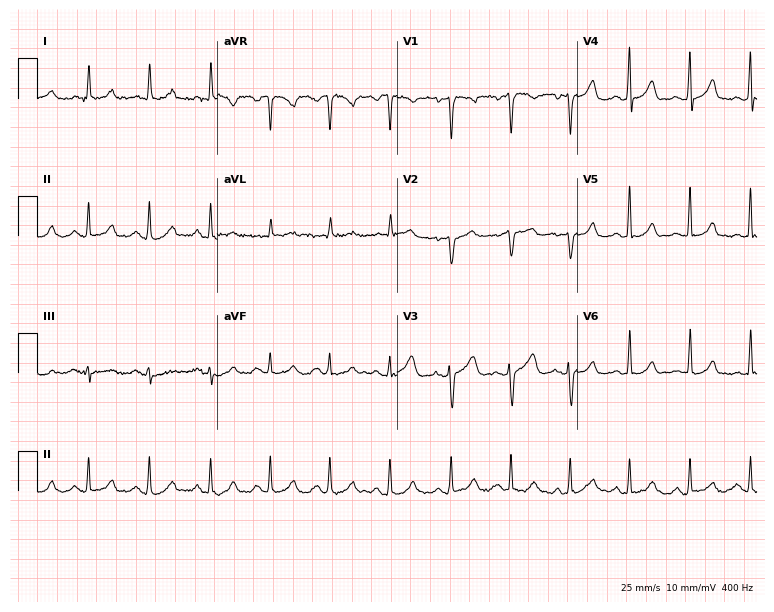
Standard 12-lead ECG recorded from a 48-year-old woman (7.3-second recording at 400 Hz). Read as a normal ECG.